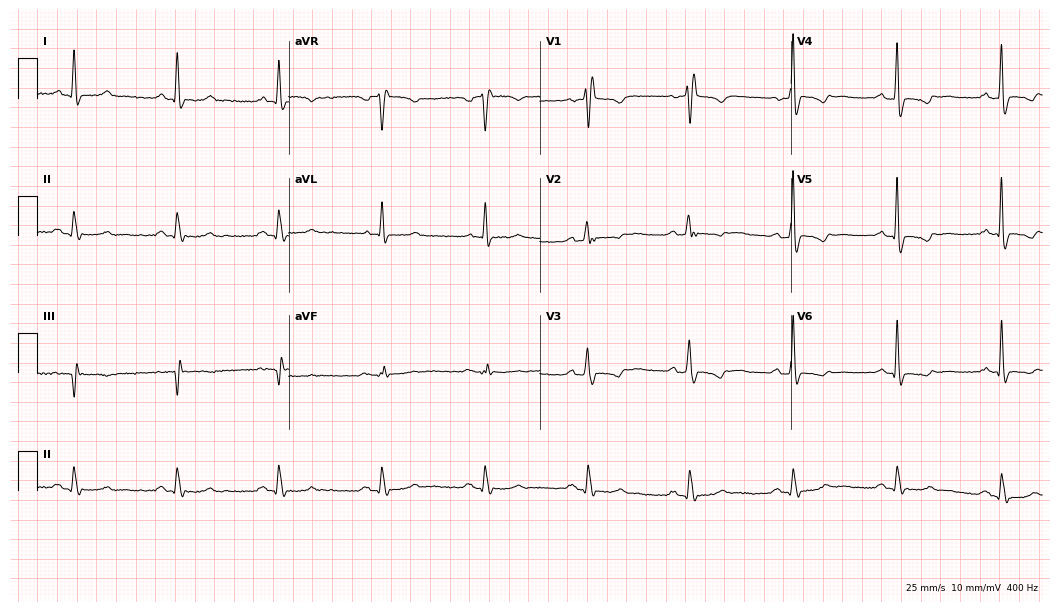
Resting 12-lead electrocardiogram (10.2-second recording at 400 Hz). Patient: a man, 70 years old. The tracing shows right bundle branch block.